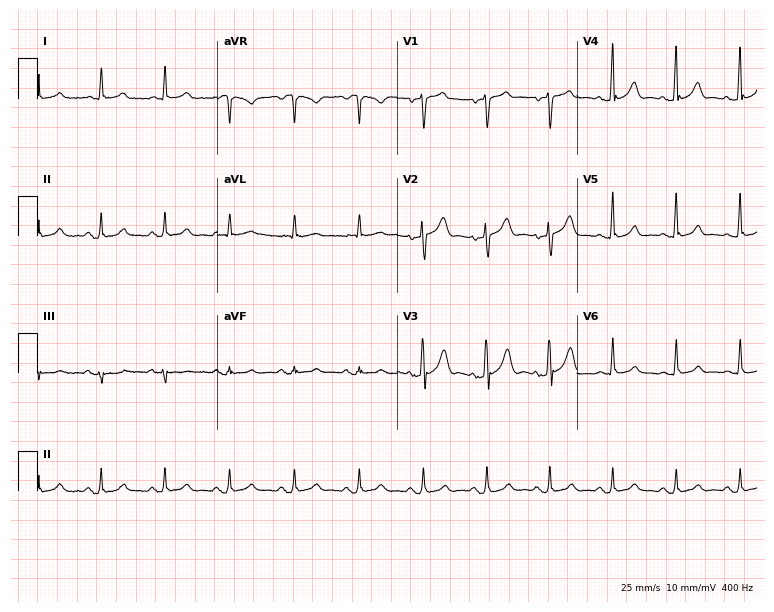
12-lead ECG from a 54-year-old male patient. Recorded interpretation: within normal limits.